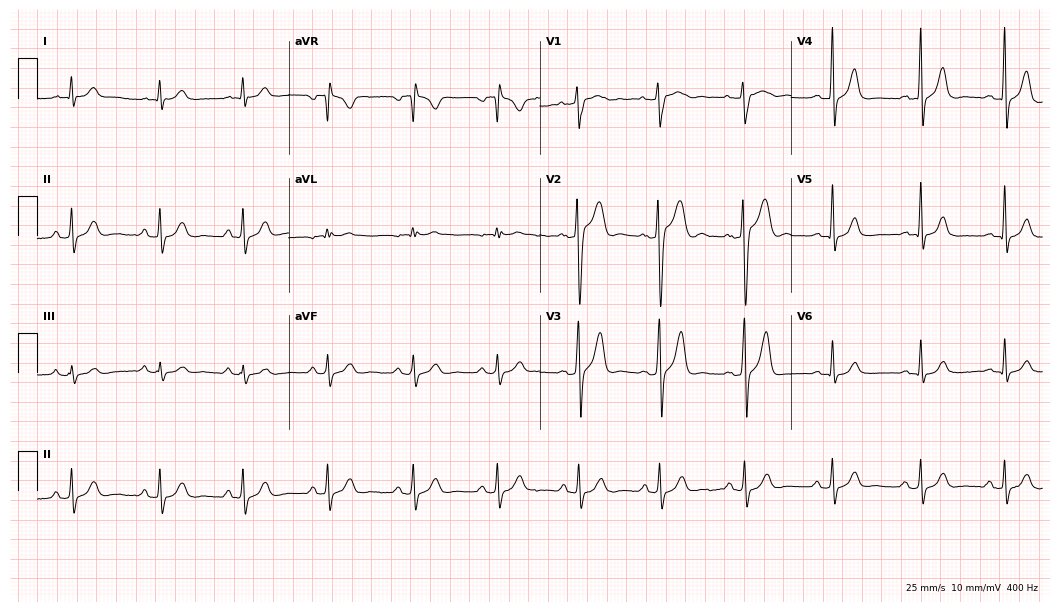
Electrocardiogram, a 27-year-old man. Of the six screened findings (first-degree AV block, right bundle branch block (RBBB), left bundle branch block (LBBB), sinus bradycardia, atrial fibrillation (AF), sinus tachycardia), none is recorded.